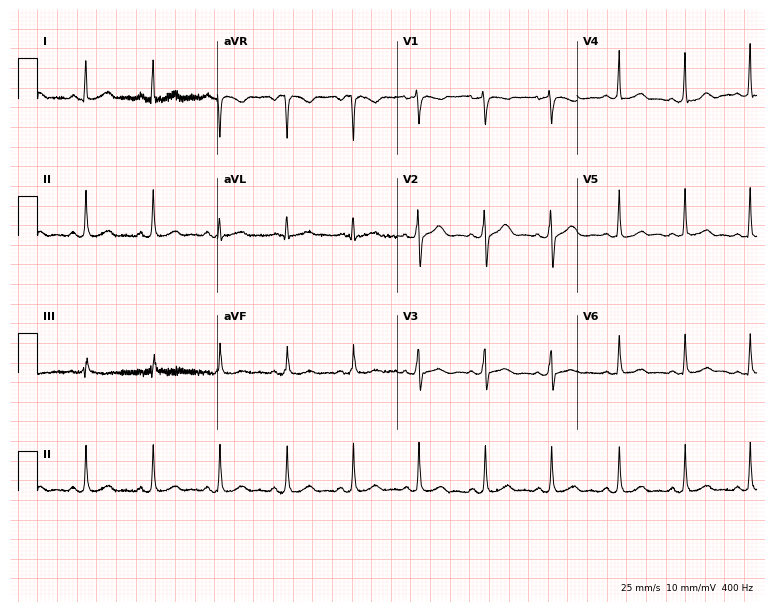
ECG — a 40-year-old woman. Screened for six findings — first-degree AV block, right bundle branch block (RBBB), left bundle branch block (LBBB), sinus bradycardia, atrial fibrillation (AF), sinus tachycardia — none is recorded. Findings outside these six are not listed.